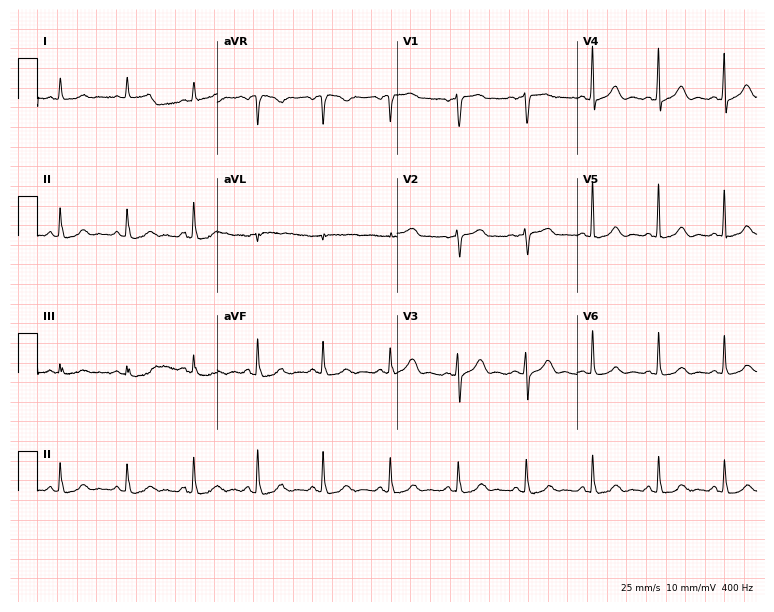
12-lead ECG from a female patient, 85 years old. Screened for six findings — first-degree AV block, right bundle branch block, left bundle branch block, sinus bradycardia, atrial fibrillation, sinus tachycardia — none is recorded. Findings outside these six are not listed.